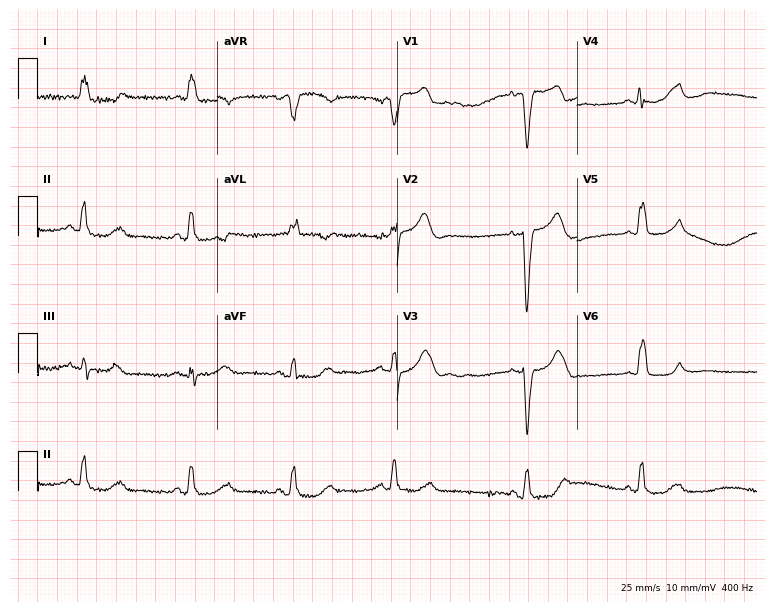
12-lead ECG from an 84-year-old woman. Screened for six findings — first-degree AV block, right bundle branch block, left bundle branch block, sinus bradycardia, atrial fibrillation, sinus tachycardia — none is recorded.